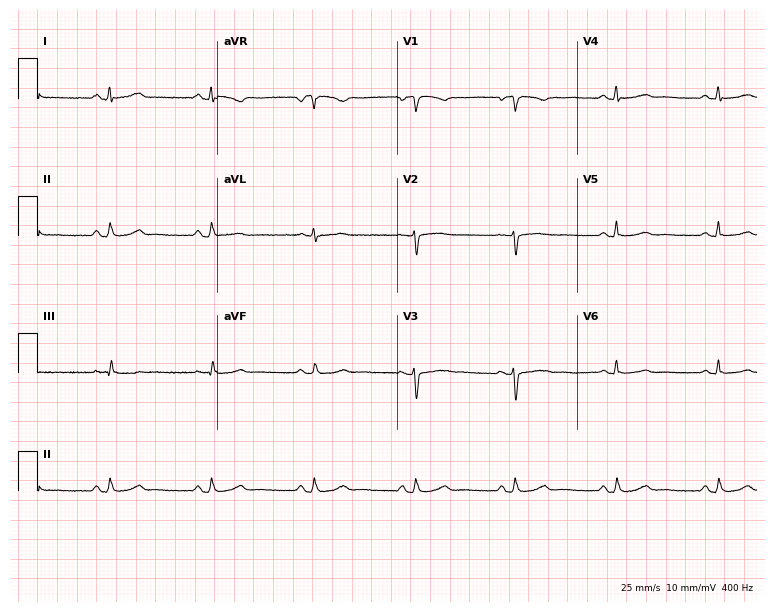
ECG (7.3-second recording at 400 Hz) — a 55-year-old female patient. Labelled as a normal ECG.